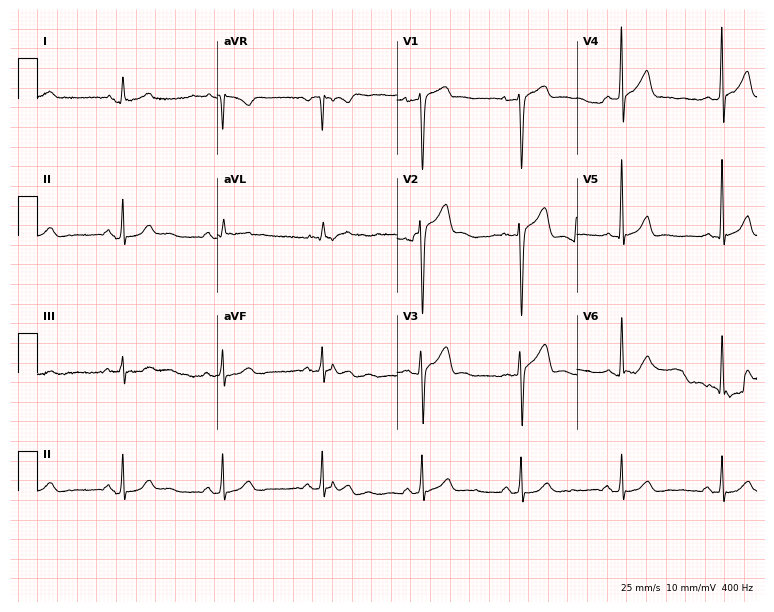
Electrocardiogram, a man, 48 years old. Overall reading on record: normal ECG.